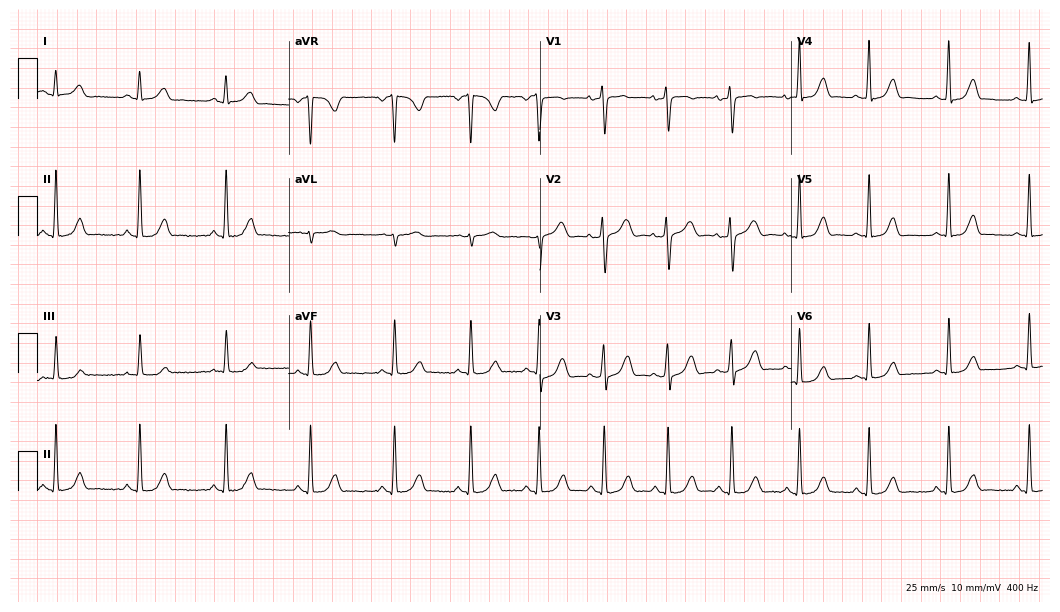
ECG (10.2-second recording at 400 Hz) — a 22-year-old female. Screened for six findings — first-degree AV block, right bundle branch block, left bundle branch block, sinus bradycardia, atrial fibrillation, sinus tachycardia — none is recorded.